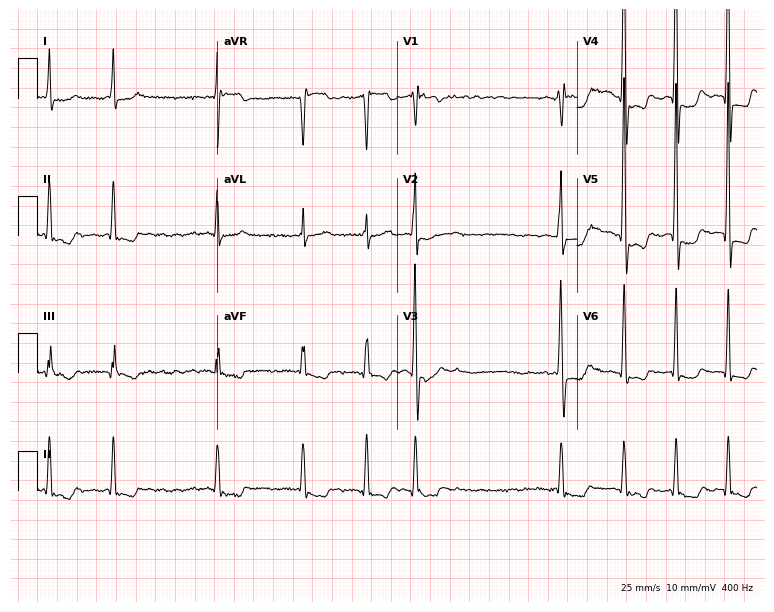
Electrocardiogram (7.3-second recording at 400 Hz), a 66-year-old man. Interpretation includes atrial fibrillation.